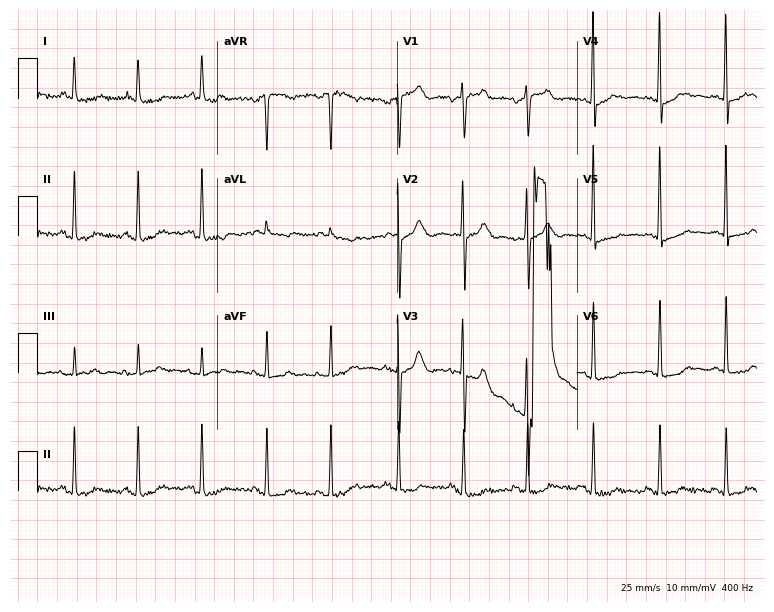
12-lead ECG from a female, 78 years old. No first-degree AV block, right bundle branch block, left bundle branch block, sinus bradycardia, atrial fibrillation or sinus tachycardia recorded for this tracing. Other findings, if any, are not listed.